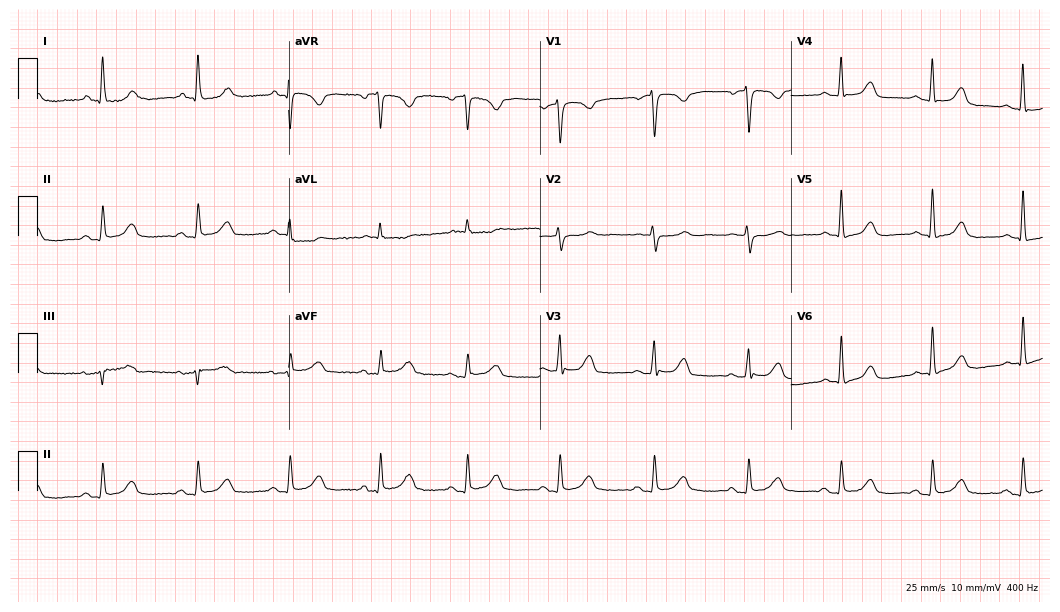
Electrocardiogram (10.2-second recording at 400 Hz), a 58-year-old woman. Overall reading on record: normal ECG.